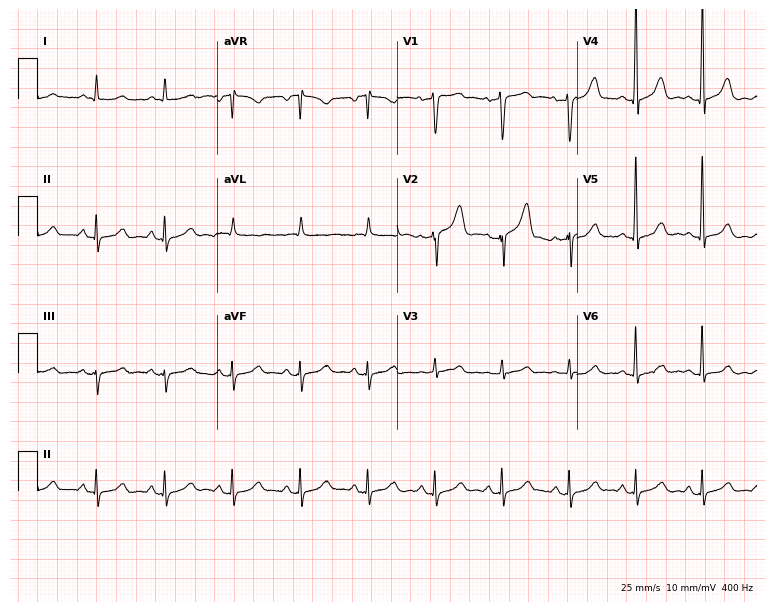
12-lead ECG from a man, 65 years old (7.3-second recording at 400 Hz). Recorded interpretation: within normal limits.